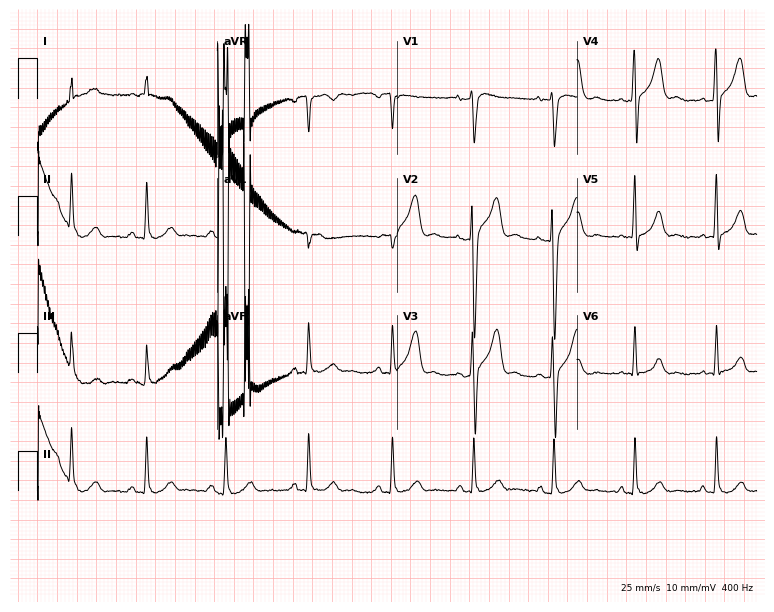
12-lead ECG (7.3-second recording at 400 Hz) from a man, 30 years old. Labelled as a normal ECG.